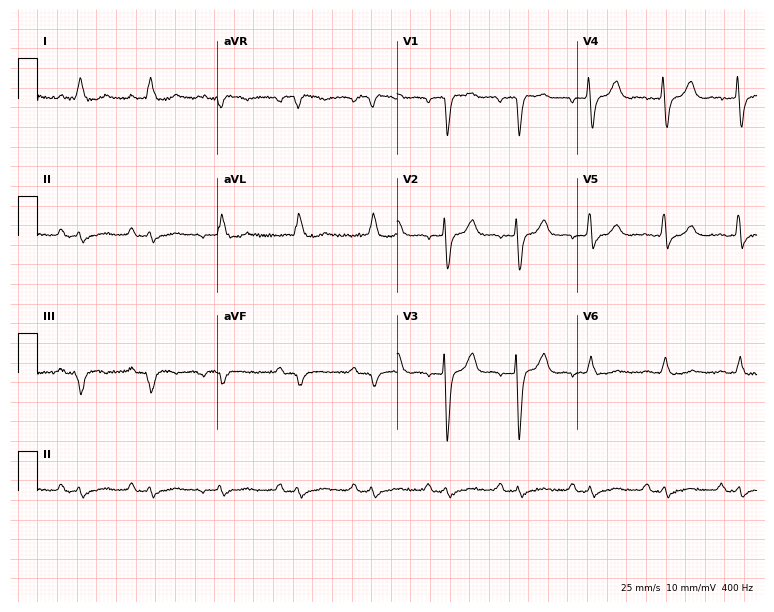
Resting 12-lead electrocardiogram (7.3-second recording at 400 Hz). Patient: a man, 65 years old. None of these six findings is recorded: first-degree AV block, right bundle branch block, left bundle branch block, sinus bradycardia, atrial fibrillation, sinus tachycardia.